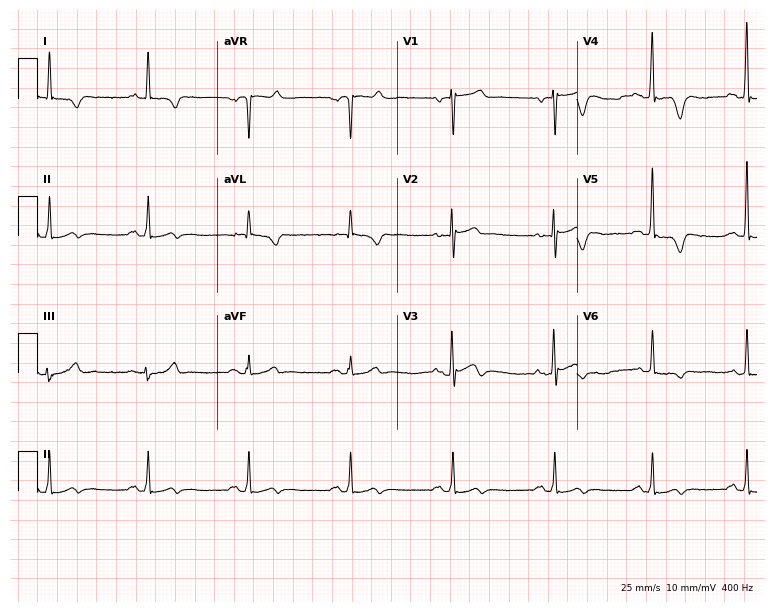
Electrocardiogram (7.3-second recording at 400 Hz), a male patient, 65 years old. Of the six screened findings (first-degree AV block, right bundle branch block, left bundle branch block, sinus bradycardia, atrial fibrillation, sinus tachycardia), none is recorded.